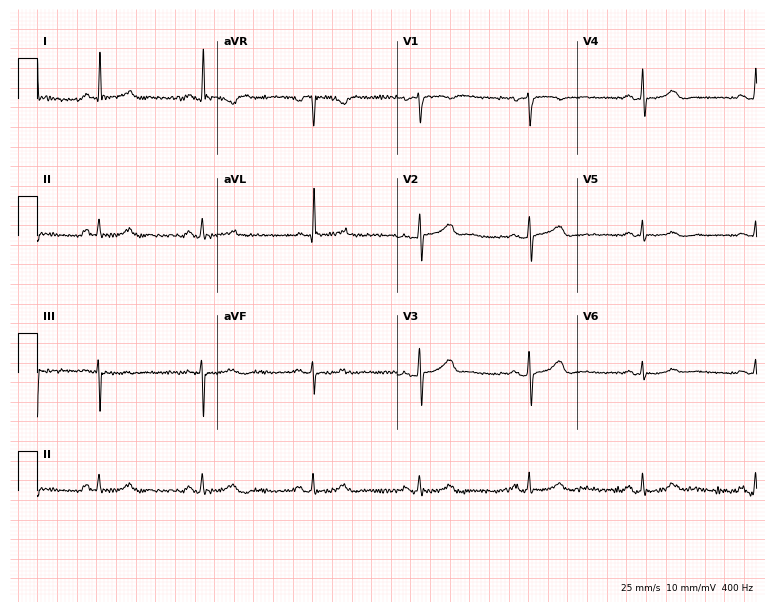
Standard 12-lead ECG recorded from a 46-year-old woman. None of these six findings is recorded: first-degree AV block, right bundle branch block (RBBB), left bundle branch block (LBBB), sinus bradycardia, atrial fibrillation (AF), sinus tachycardia.